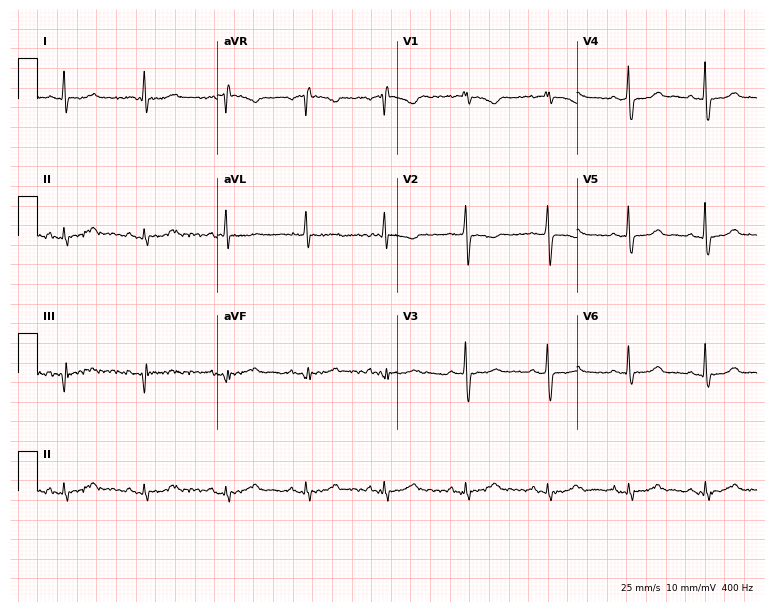
ECG — a female, 50 years old. Screened for six findings — first-degree AV block, right bundle branch block, left bundle branch block, sinus bradycardia, atrial fibrillation, sinus tachycardia — none is recorded. Other findings, if any, are not listed.